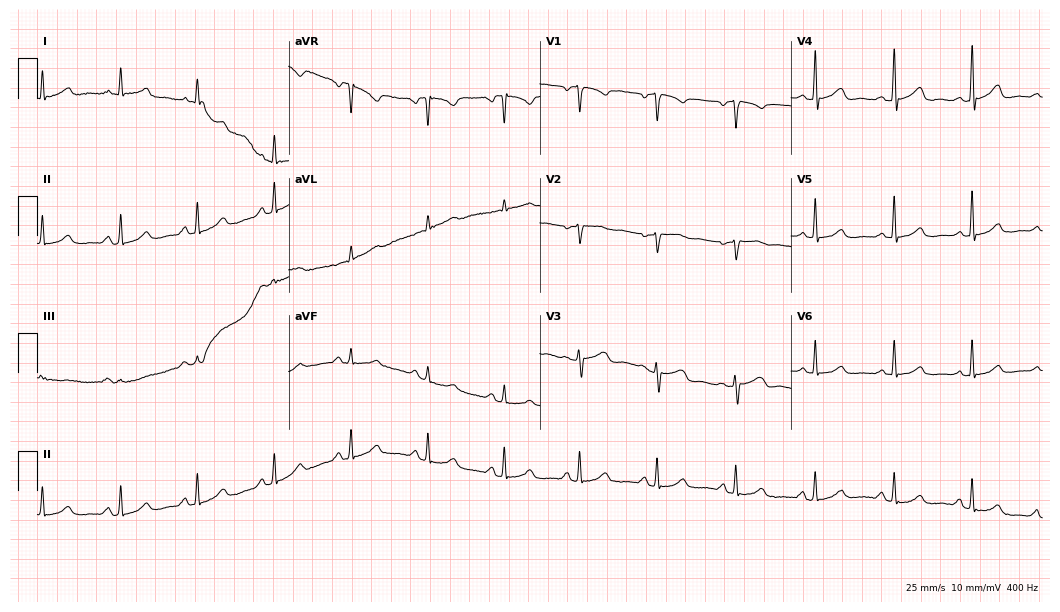
Electrocardiogram, a 60-year-old woman. Overall reading on record: normal ECG.